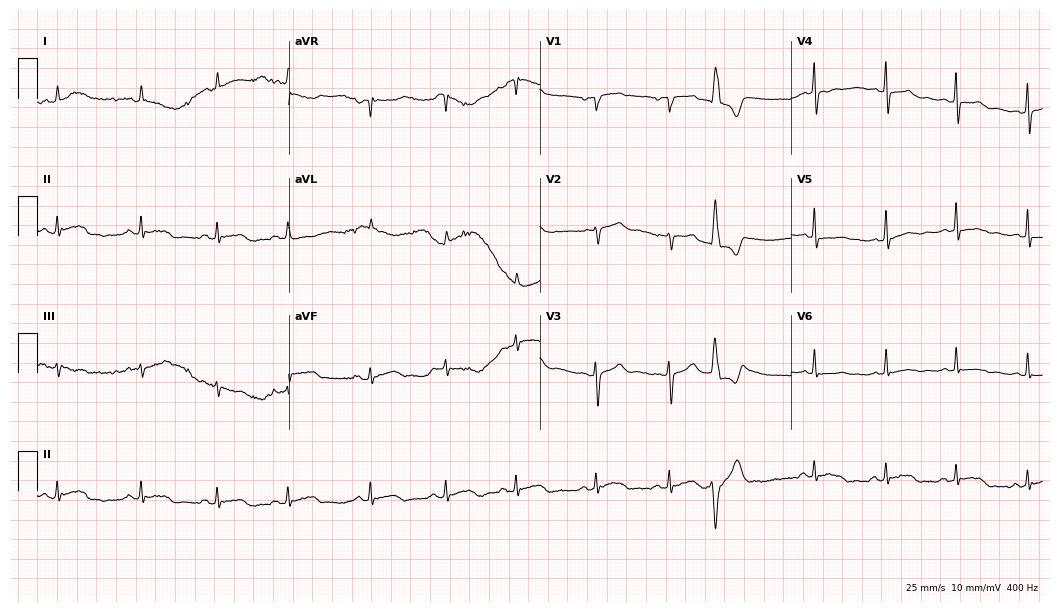
ECG — a 76-year-old man. Screened for six findings — first-degree AV block, right bundle branch block (RBBB), left bundle branch block (LBBB), sinus bradycardia, atrial fibrillation (AF), sinus tachycardia — none is recorded.